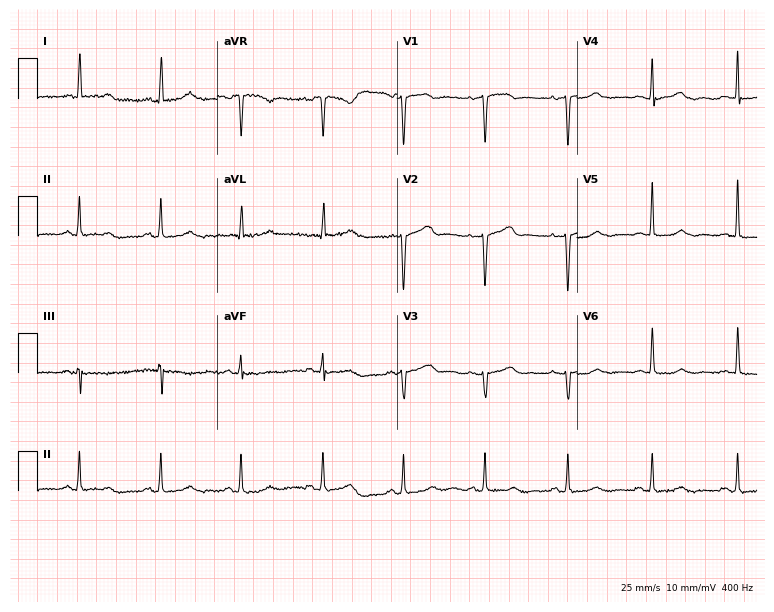
12-lead ECG from a 56-year-old female patient. Screened for six findings — first-degree AV block, right bundle branch block (RBBB), left bundle branch block (LBBB), sinus bradycardia, atrial fibrillation (AF), sinus tachycardia — none is recorded.